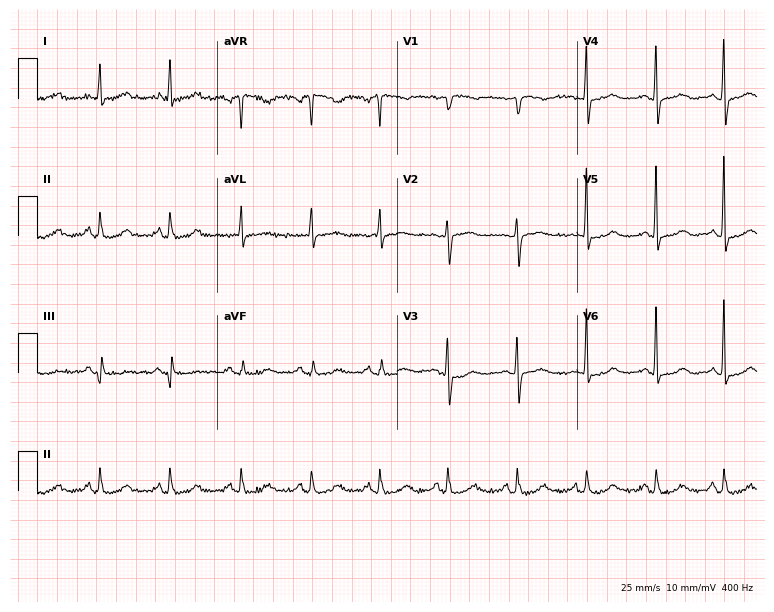
Resting 12-lead electrocardiogram. Patient: an 80-year-old female. None of these six findings is recorded: first-degree AV block, right bundle branch block, left bundle branch block, sinus bradycardia, atrial fibrillation, sinus tachycardia. Other findings, if any, are not listed.